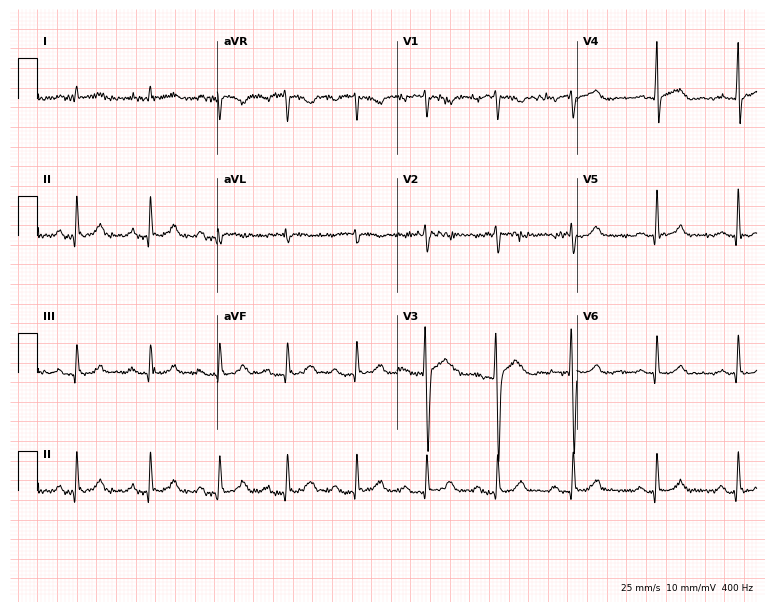
12-lead ECG from a 36-year-old male. No first-degree AV block, right bundle branch block, left bundle branch block, sinus bradycardia, atrial fibrillation or sinus tachycardia recorded for this tracing.